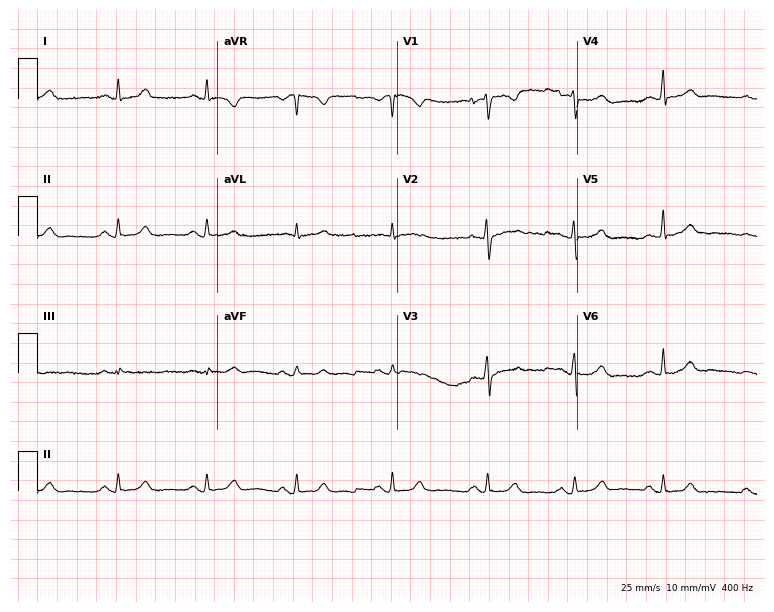
Standard 12-lead ECG recorded from a female patient, 31 years old (7.3-second recording at 400 Hz). Read as a normal ECG.